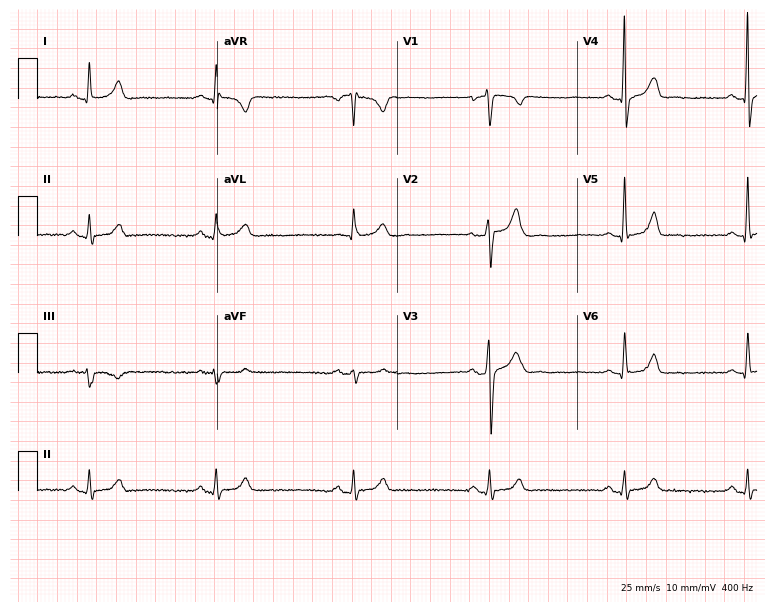
ECG (7.3-second recording at 400 Hz) — a 37-year-old male patient. Findings include sinus bradycardia (a sinus rate of 50 beats per minute or less).